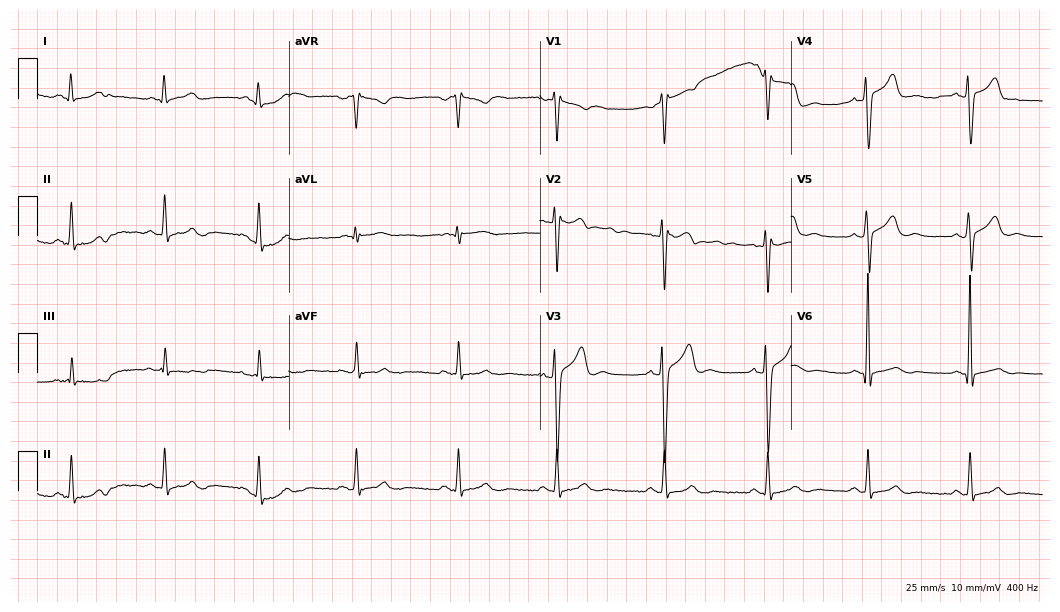
12-lead ECG from a male patient, 28 years old. No first-degree AV block, right bundle branch block, left bundle branch block, sinus bradycardia, atrial fibrillation or sinus tachycardia recorded for this tracing.